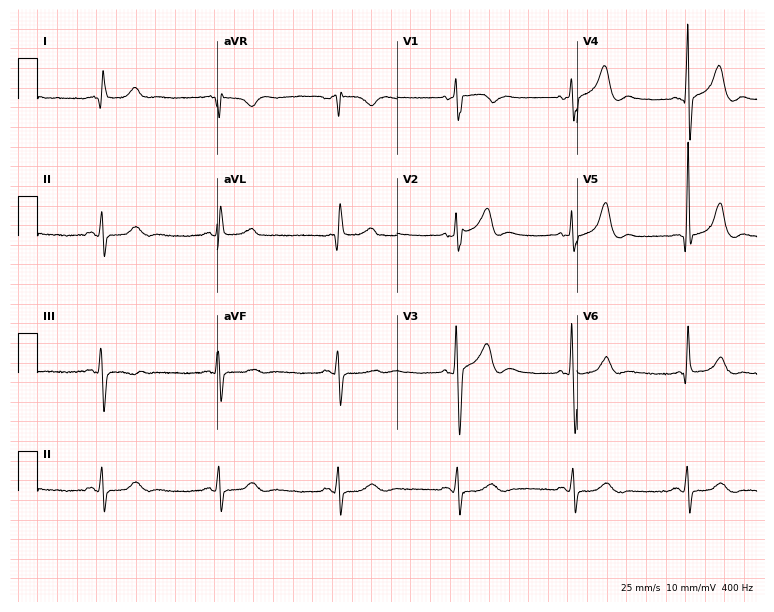
Resting 12-lead electrocardiogram (7.3-second recording at 400 Hz). Patient: a male, 59 years old. The tracing shows sinus bradycardia (a sinus rate of 50 beats per minute or less).